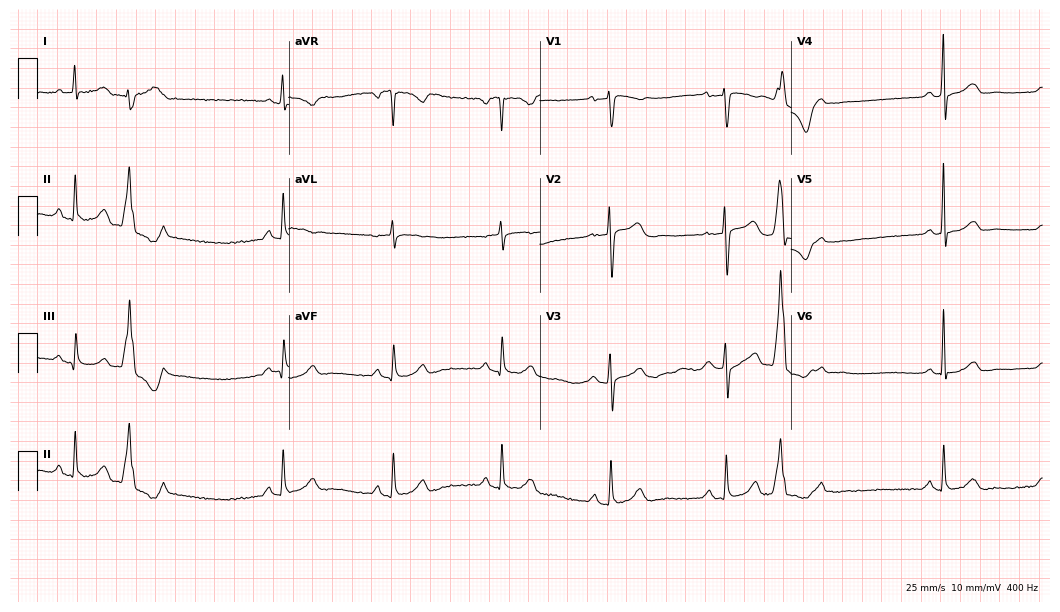
Resting 12-lead electrocardiogram (10.2-second recording at 400 Hz). Patient: a 61-year-old female. None of these six findings is recorded: first-degree AV block, right bundle branch block, left bundle branch block, sinus bradycardia, atrial fibrillation, sinus tachycardia. Only these six findings were labelled.